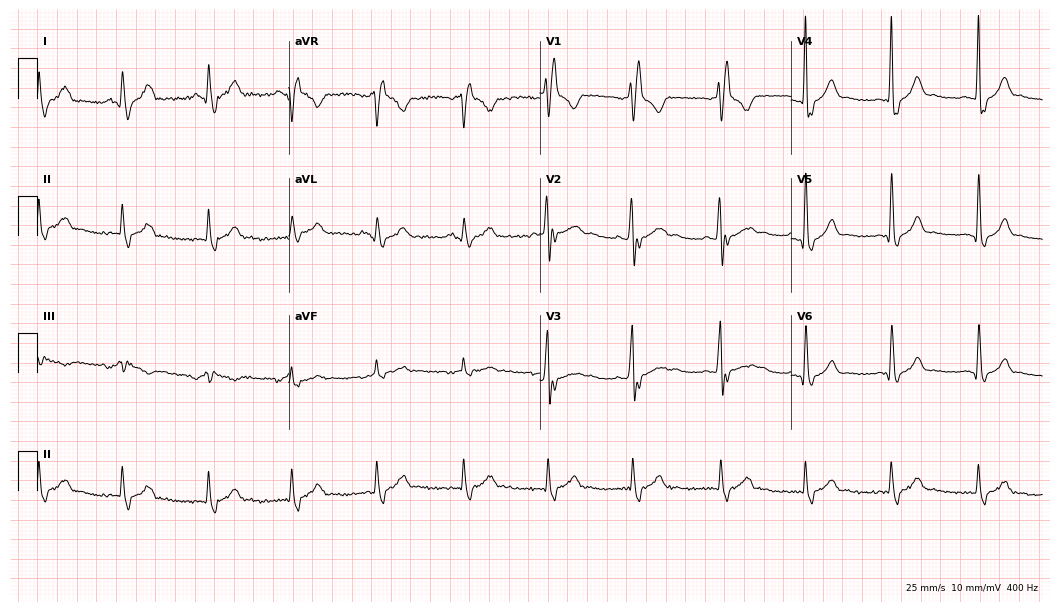
Standard 12-lead ECG recorded from a male patient, 36 years old (10.2-second recording at 400 Hz). None of these six findings is recorded: first-degree AV block, right bundle branch block (RBBB), left bundle branch block (LBBB), sinus bradycardia, atrial fibrillation (AF), sinus tachycardia.